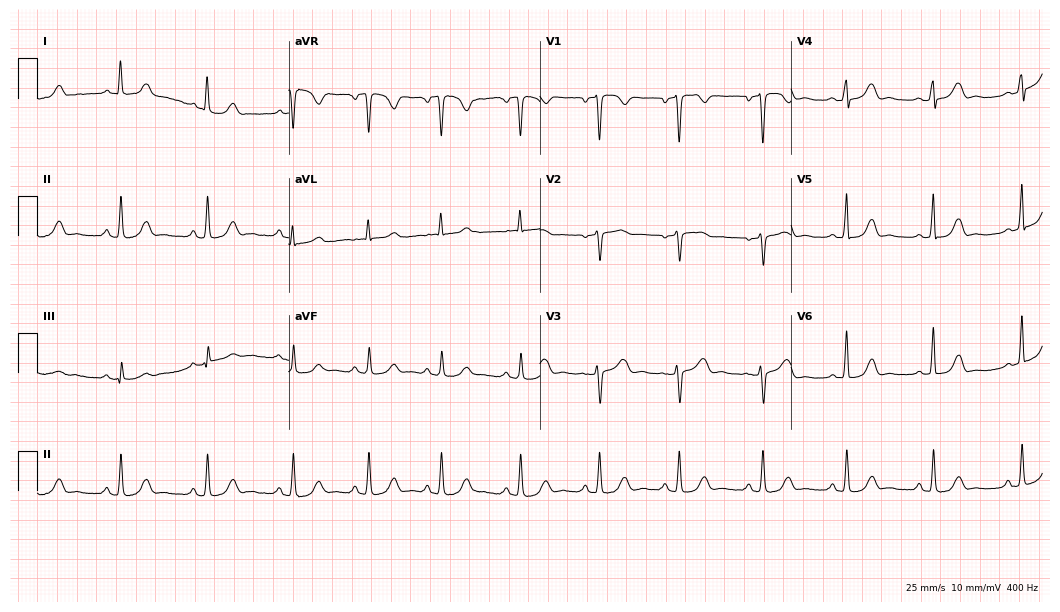
Standard 12-lead ECG recorded from a 48-year-old woman. Read as a normal ECG.